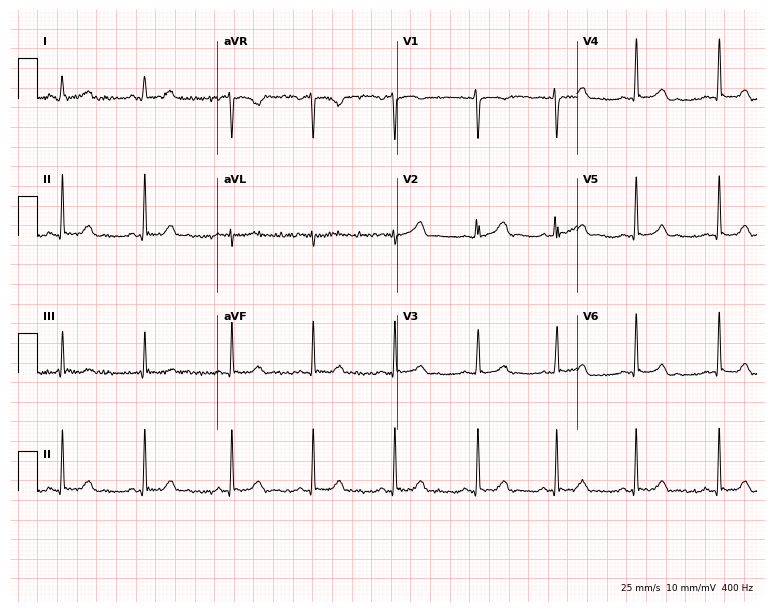
ECG (7.3-second recording at 400 Hz) — a 22-year-old female patient. Labelled as a normal ECG.